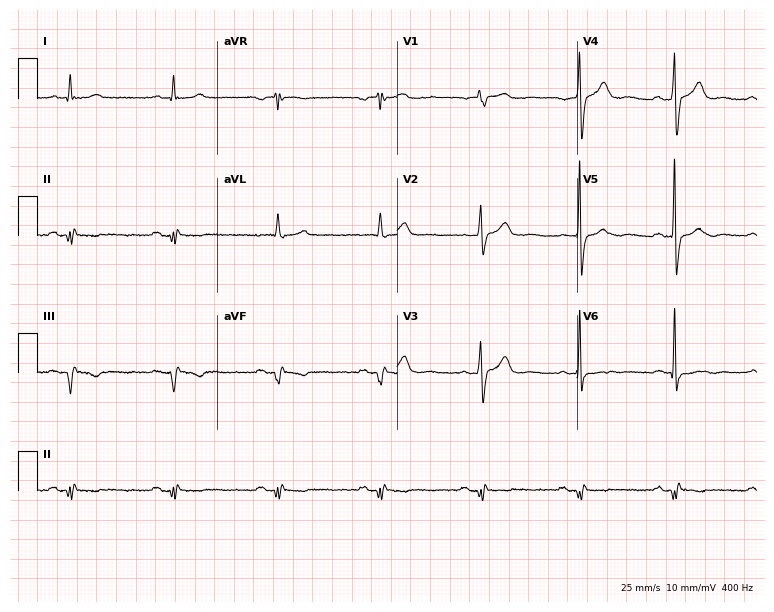
Standard 12-lead ECG recorded from a 69-year-old man. Read as a normal ECG.